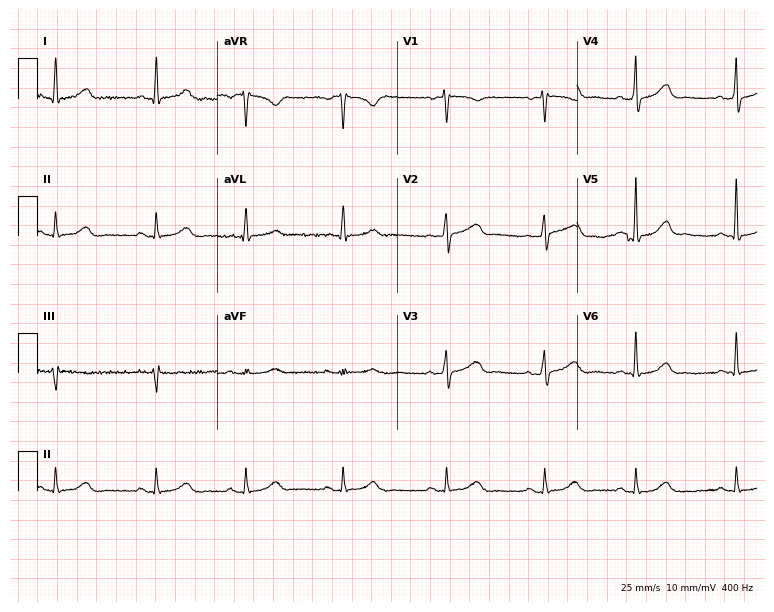
ECG (7.3-second recording at 400 Hz) — a 59-year-old female. Labelled as a normal ECG.